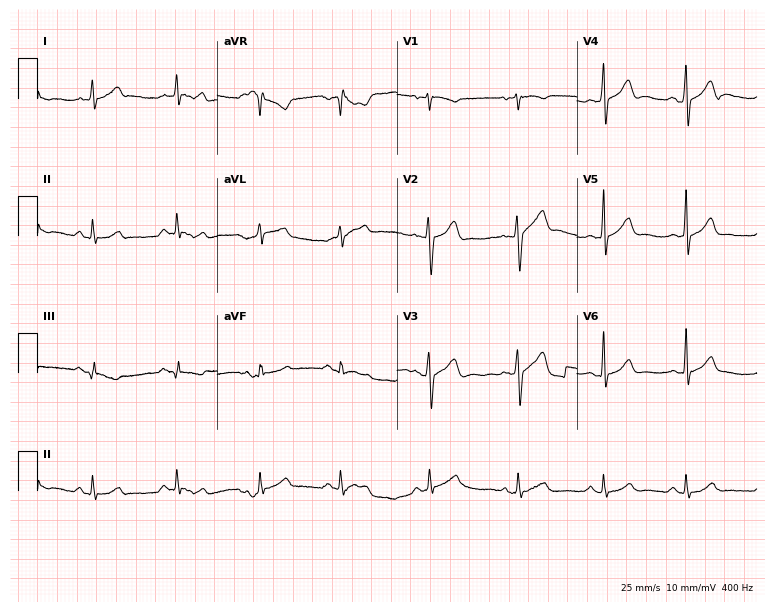
Resting 12-lead electrocardiogram. Patient: a man, 34 years old. None of these six findings is recorded: first-degree AV block, right bundle branch block, left bundle branch block, sinus bradycardia, atrial fibrillation, sinus tachycardia. Only these six findings were labelled.